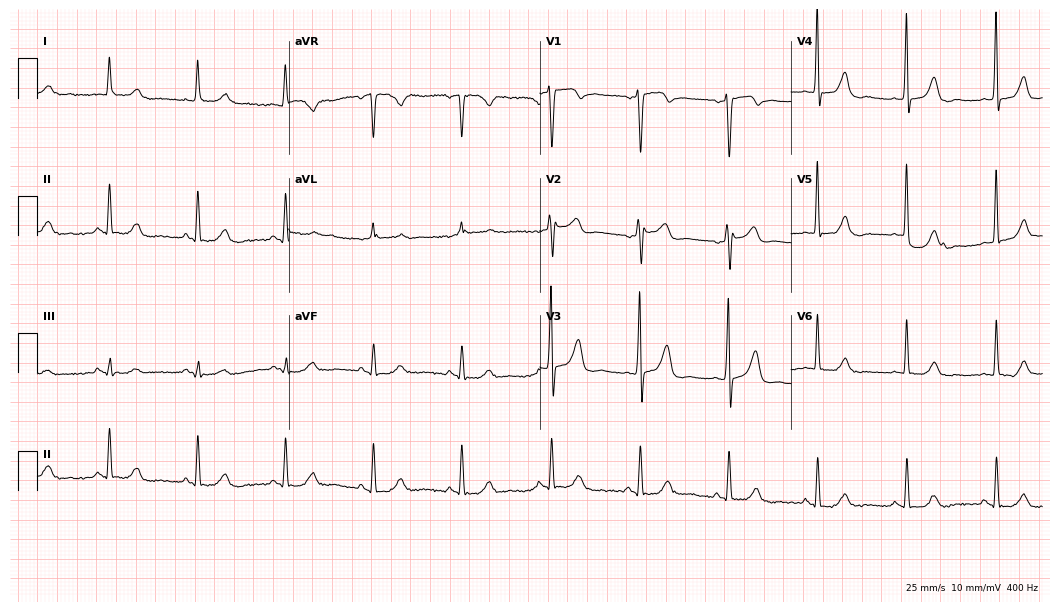
Electrocardiogram (10.2-second recording at 400 Hz), a 75-year-old male. Overall reading on record: normal ECG.